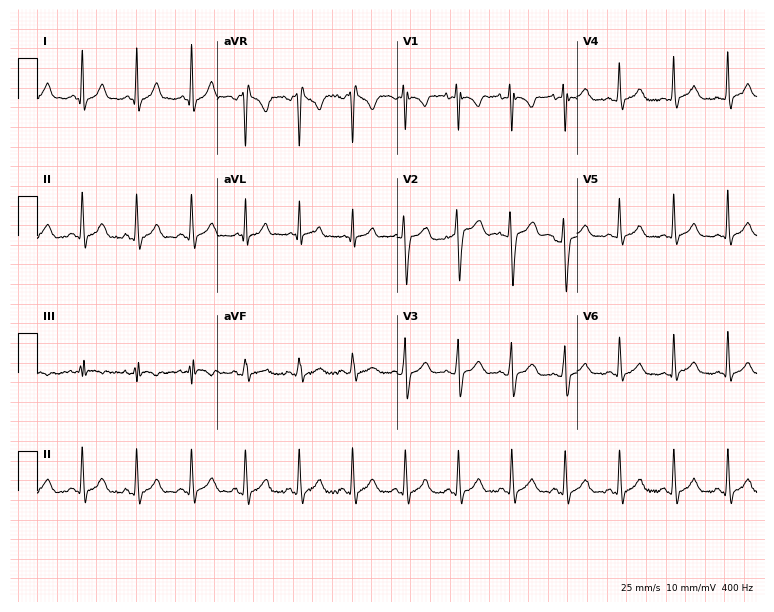
Electrocardiogram (7.3-second recording at 400 Hz), a female patient, 26 years old. Interpretation includes sinus tachycardia (a sinus rate of 100 beats per minute or more).